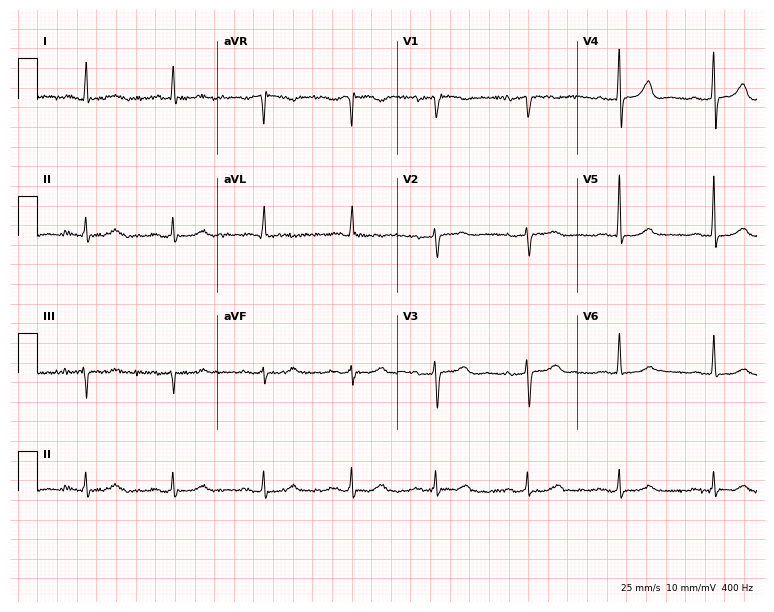
Standard 12-lead ECG recorded from a woman, 83 years old. None of these six findings is recorded: first-degree AV block, right bundle branch block, left bundle branch block, sinus bradycardia, atrial fibrillation, sinus tachycardia. Only these six findings were labelled.